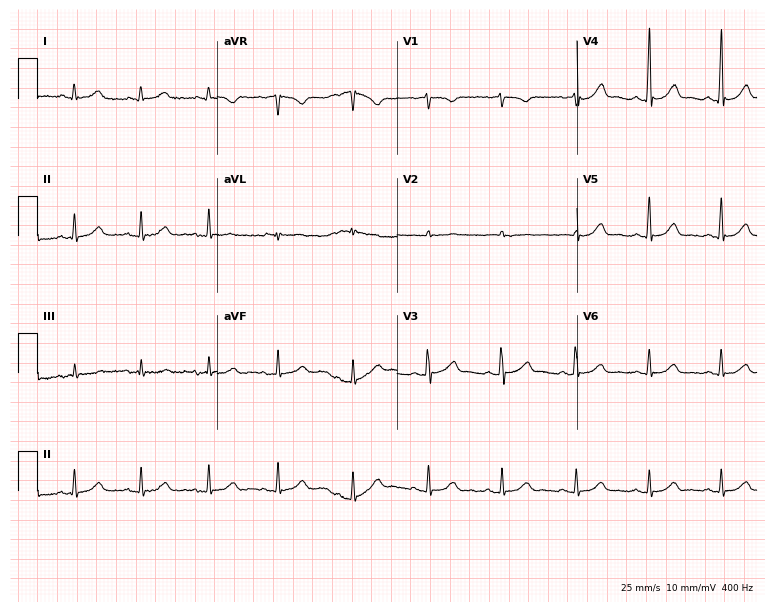
Resting 12-lead electrocardiogram. Patient: a 39-year-old woman. Read as a normal ECG.